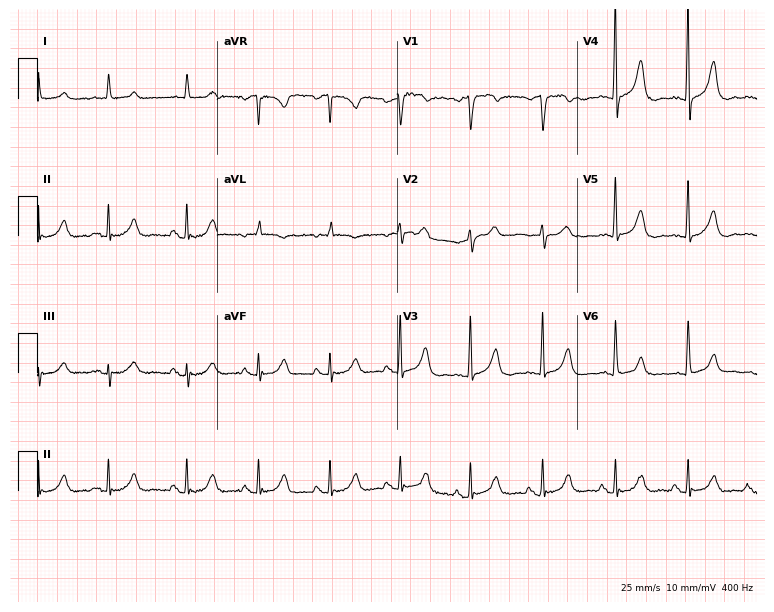
Electrocardiogram, a 78-year-old male patient. Of the six screened findings (first-degree AV block, right bundle branch block, left bundle branch block, sinus bradycardia, atrial fibrillation, sinus tachycardia), none is recorded. Findings outside these six are not listed.